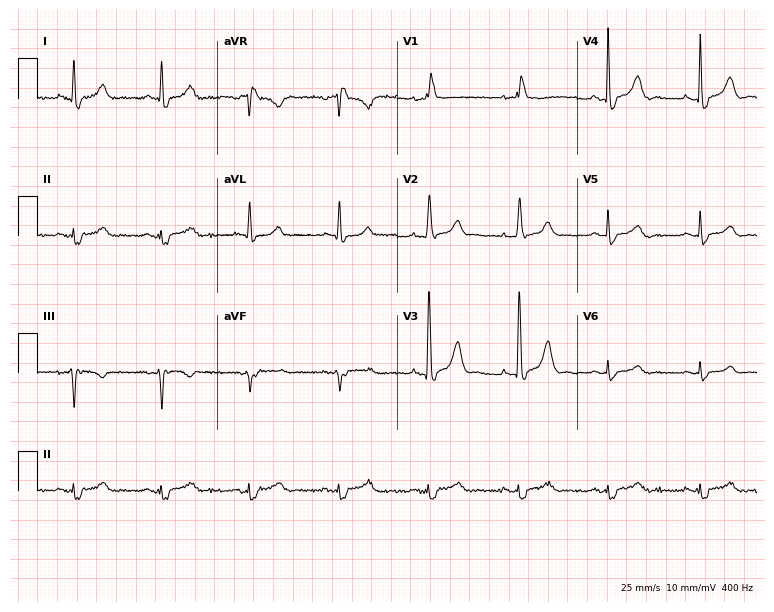
12-lead ECG from a 67-year-old female patient. Findings include right bundle branch block (RBBB).